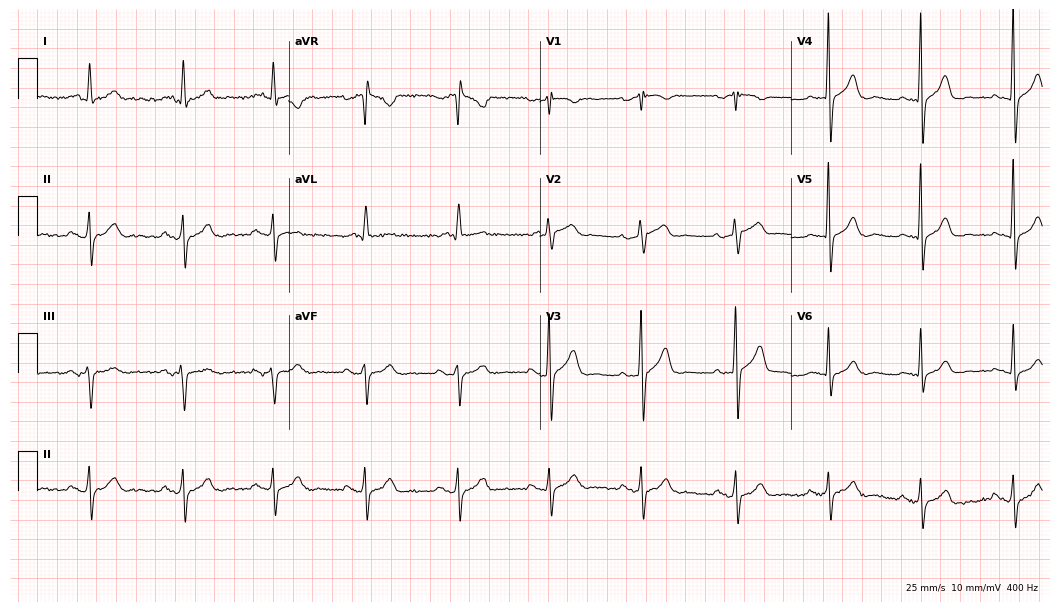
Electrocardiogram, a woman, 63 years old. Of the six screened findings (first-degree AV block, right bundle branch block, left bundle branch block, sinus bradycardia, atrial fibrillation, sinus tachycardia), none is recorded.